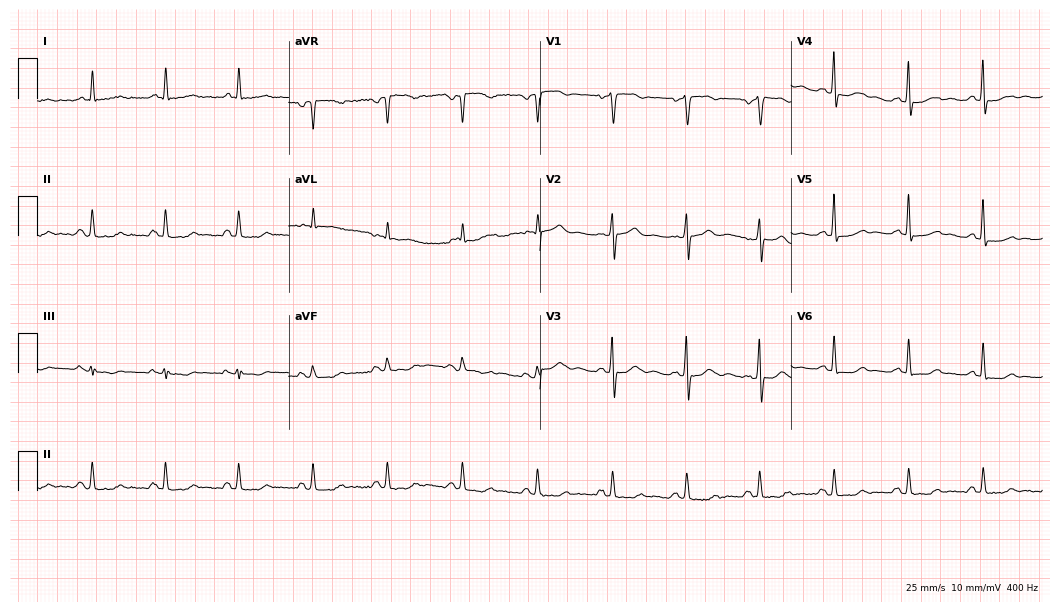
Resting 12-lead electrocardiogram (10.2-second recording at 400 Hz). Patient: a 70-year-old male. Read as a normal ECG.